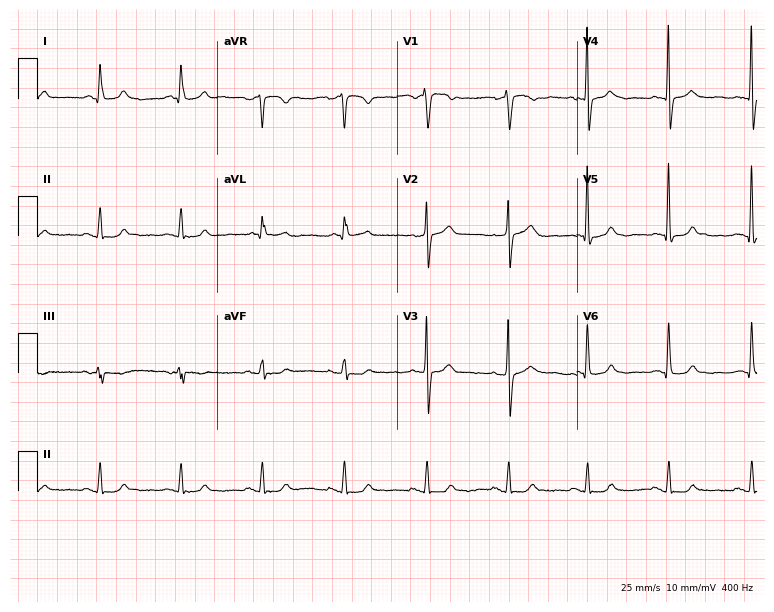
Standard 12-lead ECG recorded from a 62-year-old man (7.3-second recording at 400 Hz). Read as a normal ECG.